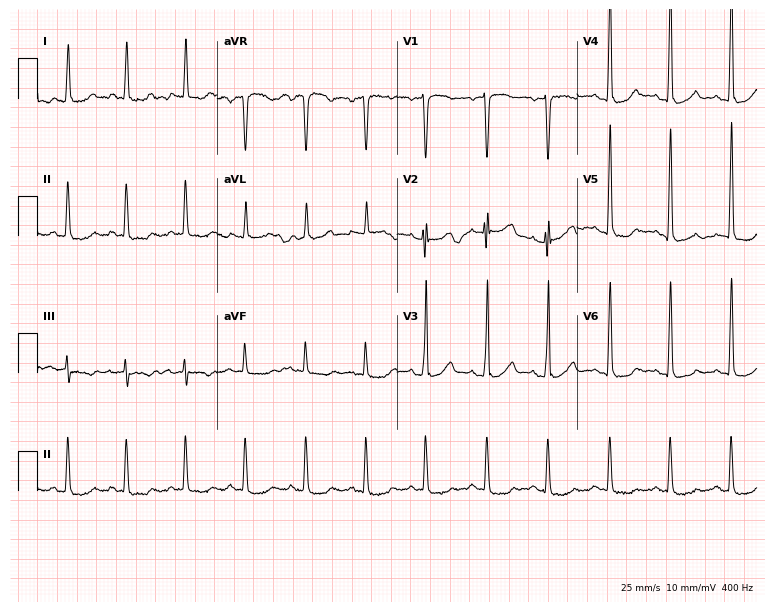
12-lead ECG (7.3-second recording at 400 Hz) from a 53-year-old woman. Screened for six findings — first-degree AV block, right bundle branch block, left bundle branch block, sinus bradycardia, atrial fibrillation, sinus tachycardia — none is recorded.